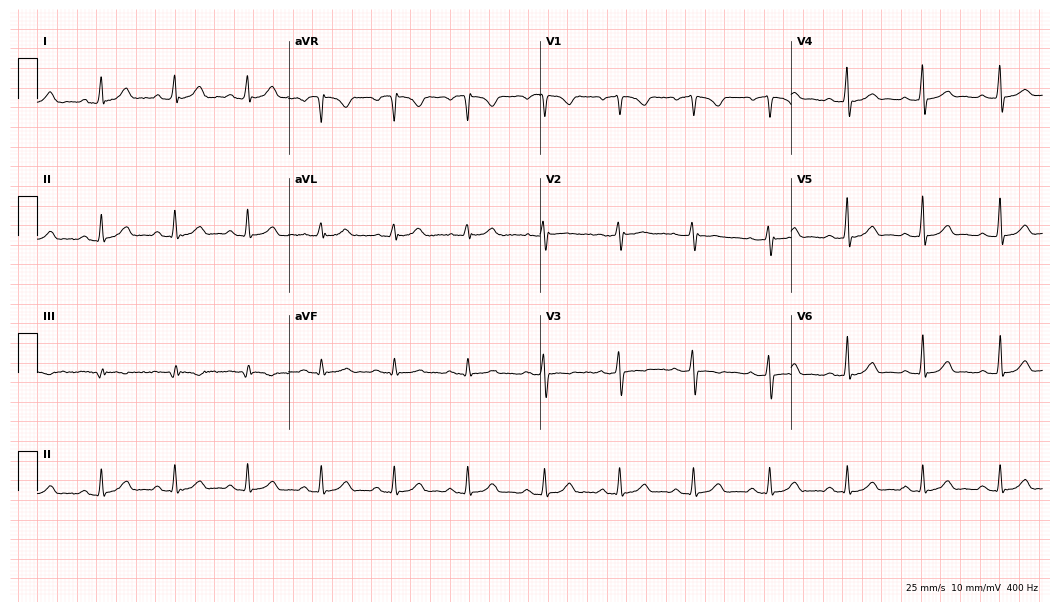
12-lead ECG from a female patient, 29 years old. Recorded interpretation: within normal limits.